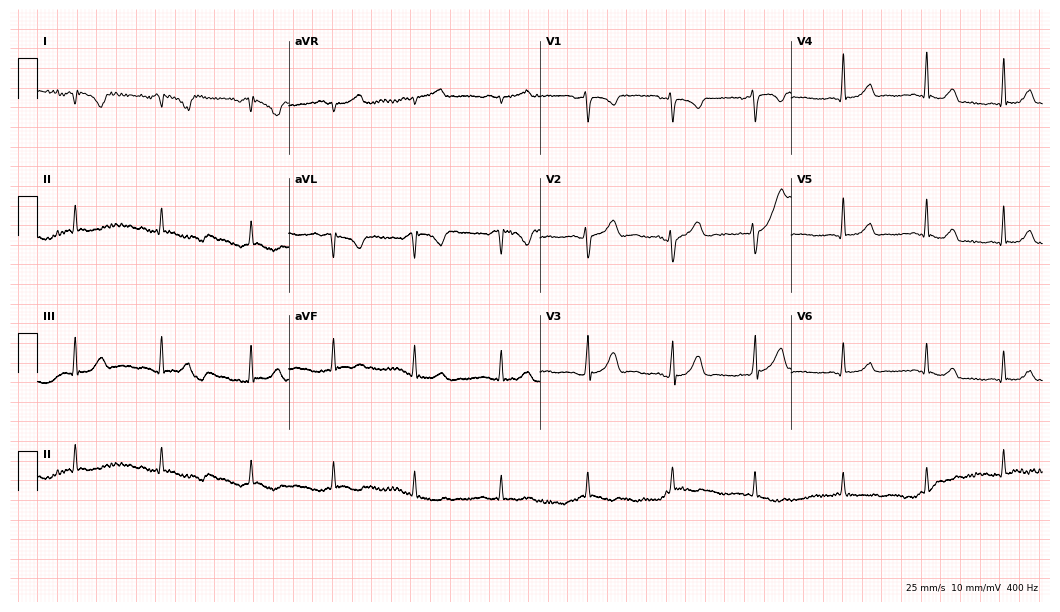
Standard 12-lead ECG recorded from a 23-year-old female patient (10.2-second recording at 400 Hz). None of these six findings is recorded: first-degree AV block, right bundle branch block (RBBB), left bundle branch block (LBBB), sinus bradycardia, atrial fibrillation (AF), sinus tachycardia. Only these six findings were labelled.